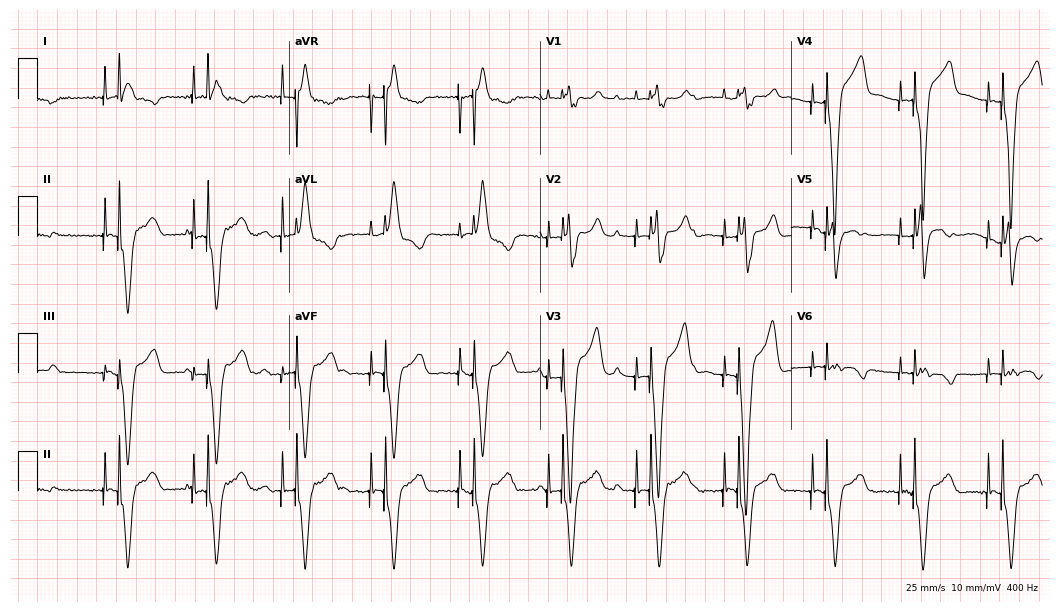
Electrocardiogram, a 77-year-old man. Of the six screened findings (first-degree AV block, right bundle branch block, left bundle branch block, sinus bradycardia, atrial fibrillation, sinus tachycardia), none is recorded. Other findings, if any, are not listed.